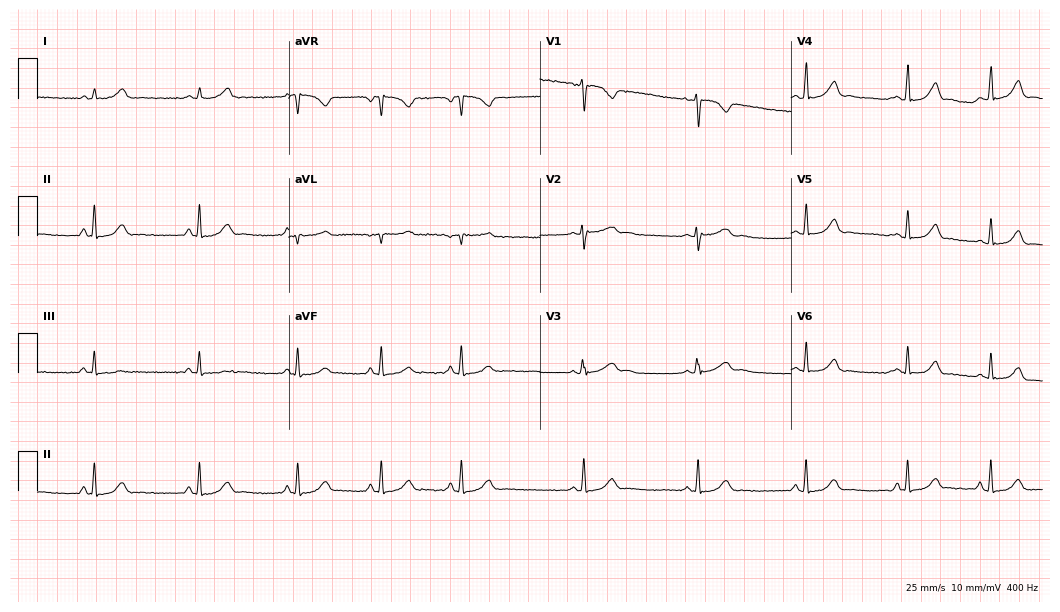
ECG — a female, 18 years old. Labelled as a normal ECG.